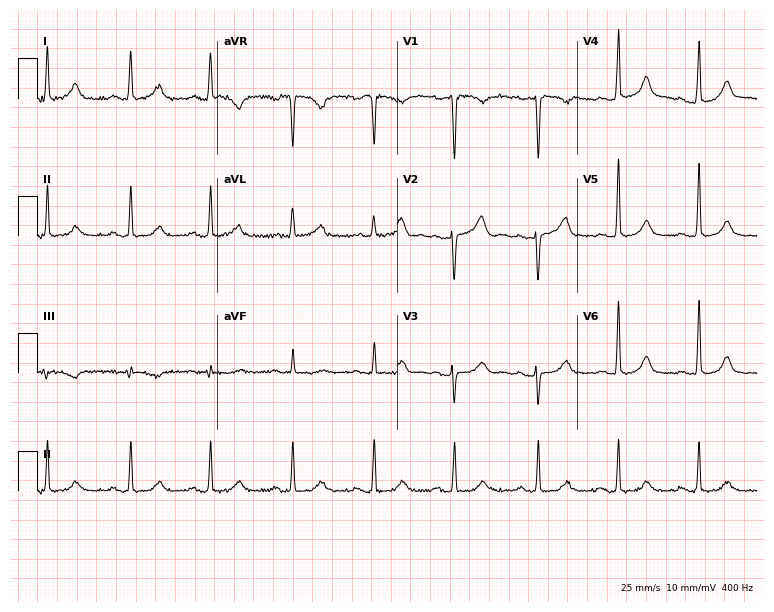
ECG (7.3-second recording at 400 Hz) — a 47-year-old female. Labelled as a normal ECG.